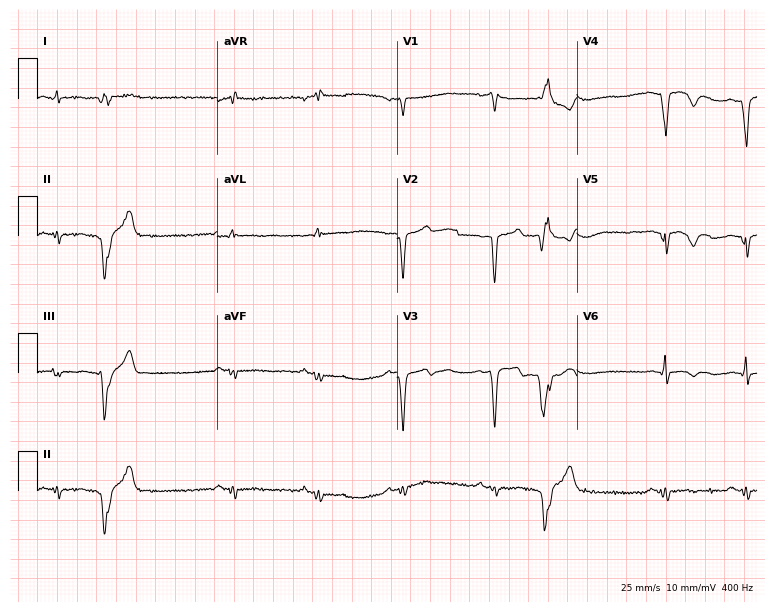
Standard 12-lead ECG recorded from a 61-year-old male patient (7.3-second recording at 400 Hz). None of these six findings is recorded: first-degree AV block, right bundle branch block, left bundle branch block, sinus bradycardia, atrial fibrillation, sinus tachycardia. Only these six findings were labelled.